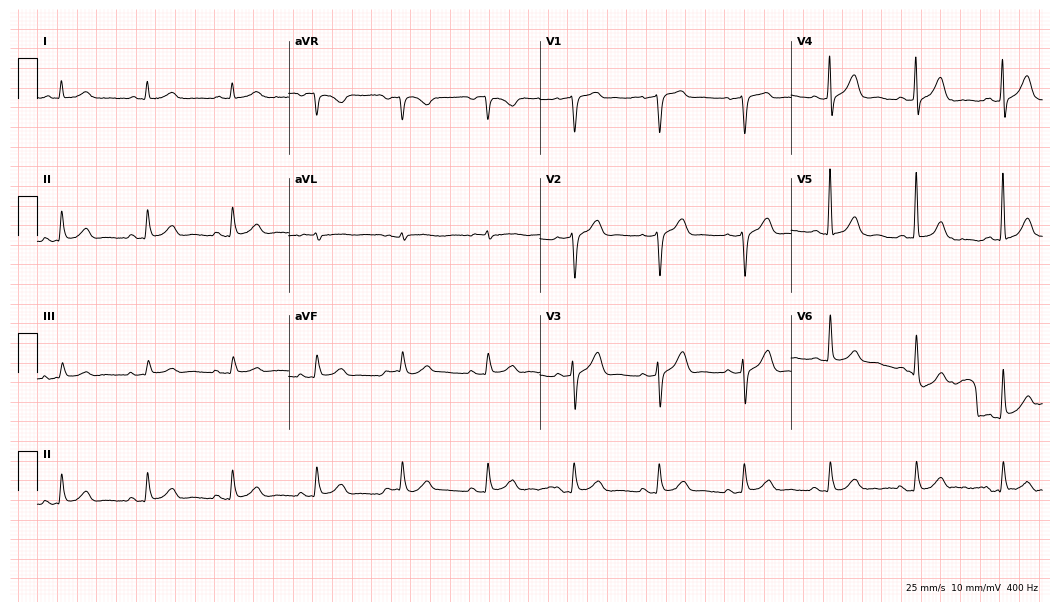
12-lead ECG (10.2-second recording at 400 Hz) from a 75-year-old male. Labelled as a normal ECG.